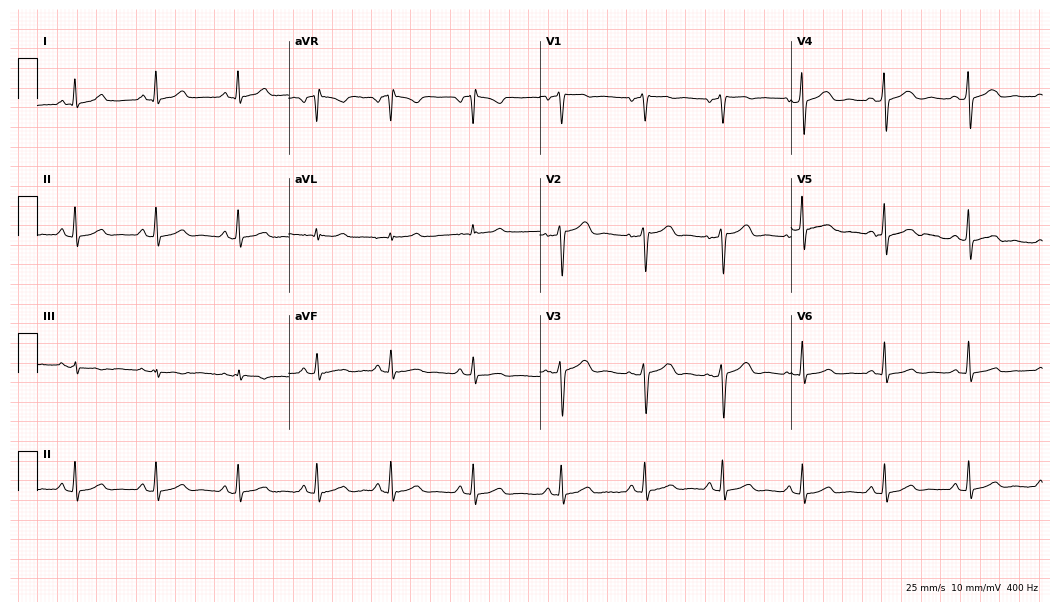
12-lead ECG from a woman, 37 years old. Screened for six findings — first-degree AV block, right bundle branch block, left bundle branch block, sinus bradycardia, atrial fibrillation, sinus tachycardia — none is recorded. Only these six findings were labelled.